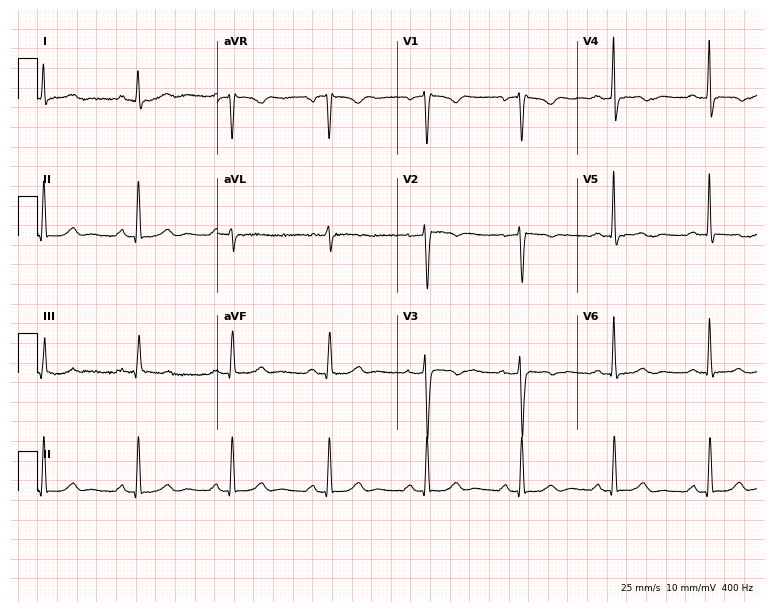
12-lead ECG (7.3-second recording at 400 Hz) from a 60-year-old woman. Screened for six findings — first-degree AV block, right bundle branch block, left bundle branch block, sinus bradycardia, atrial fibrillation, sinus tachycardia — none is recorded.